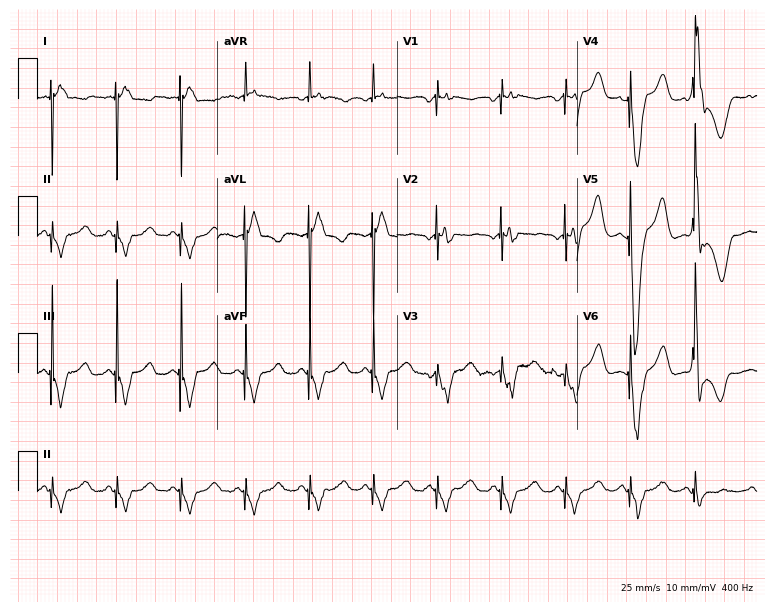
Standard 12-lead ECG recorded from a female patient, 44 years old. None of these six findings is recorded: first-degree AV block, right bundle branch block, left bundle branch block, sinus bradycardia, atrial fibrillation, sinus tachycardia.